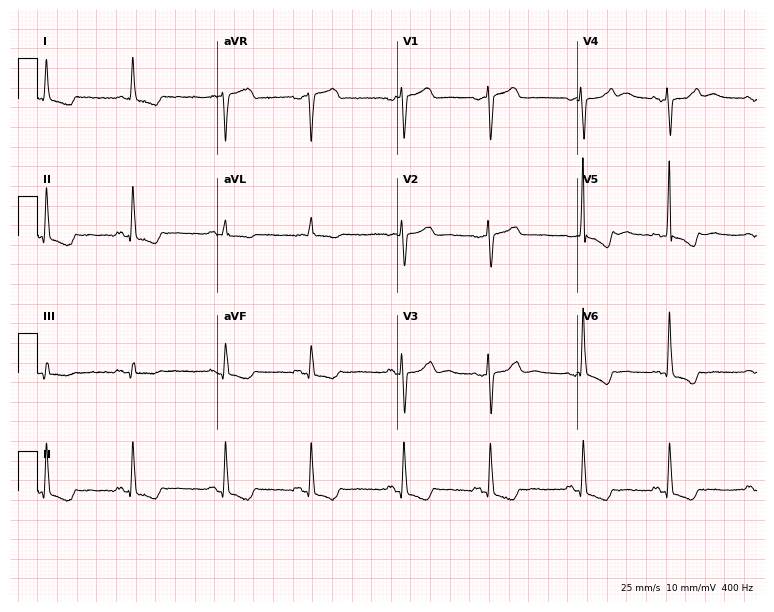
Standard 12-lead ECG recorded from a woman, 74 years old. None of these six findings is recorded: first-degree AV block, right bundle branch block, left bundle branch block, sinus bradycardia, atrial fibrillation, sinus tachycardia.